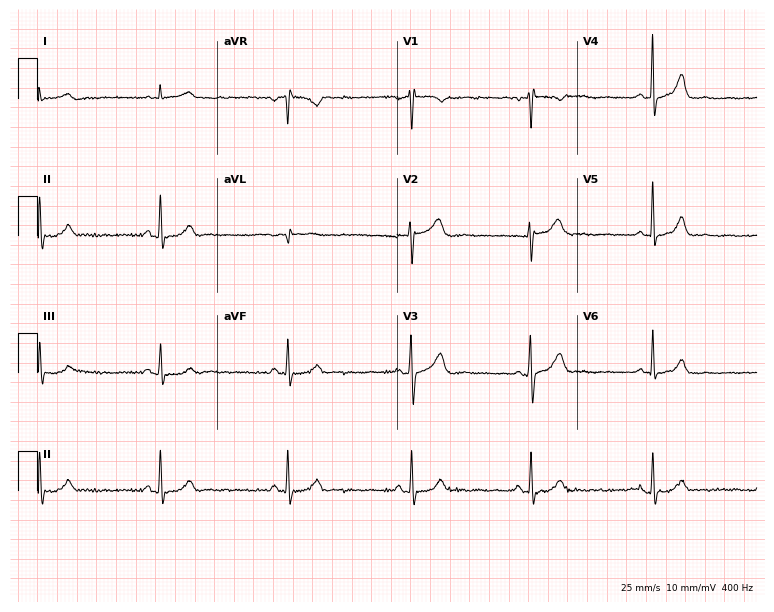
ECG — a 25-year-old woman. Findings include sinus bradycardia (a sinus rate of 50 beats per minute or less).